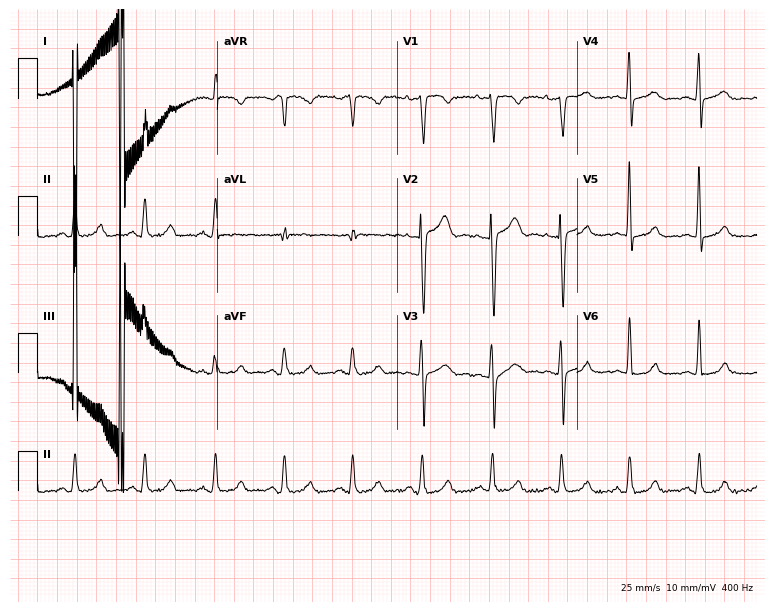
Electrocardiogram, a female, 36 years old. Of the six screened findings (first-degree AV block, right bundle branch block (RBBB), left bundle branch block (LBBB), sinus bradycardia, atrial fibrillation (AF), sinus tachycardia), none is recorded. Other findings, if any, are not listed.